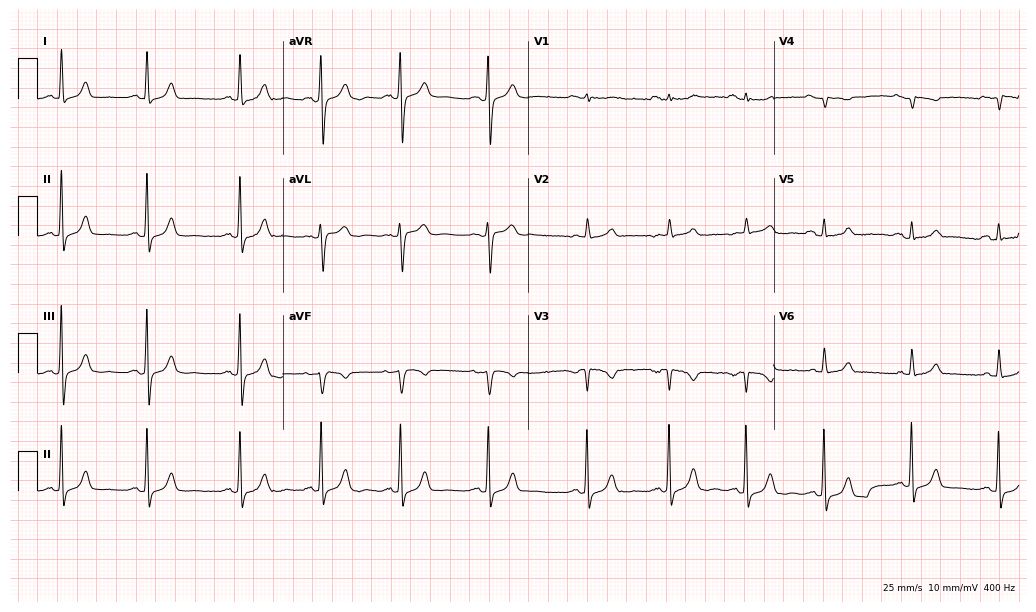
12-lead ECG (10-second recording at 400 Hz) from an 85-year-old female. Screened for six findings — first-degree AV block, right bundle branch block, left bundle branch block, sinus bradycardia, atrial fibrillation, sinus tachycardia — none is recorded.